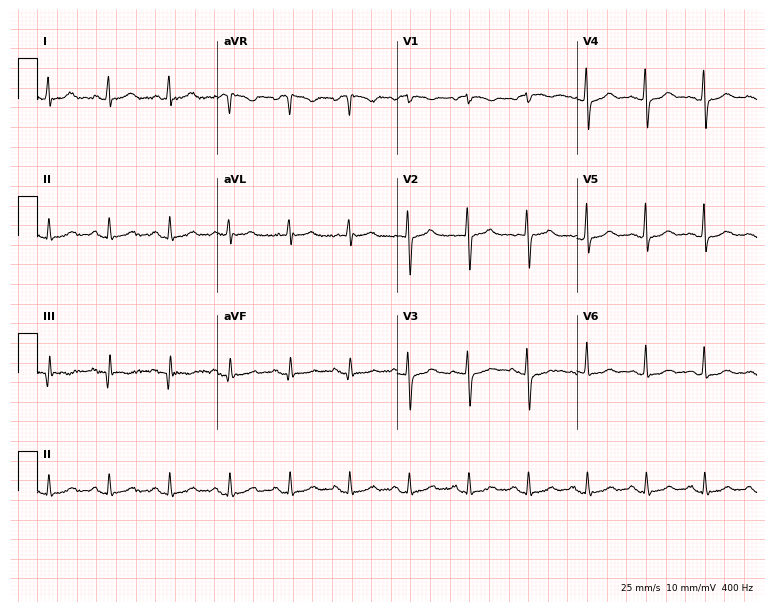
Resting 12-lead electrocardiogram. Patient: a 66-year-old female. Read as a normal ECG.